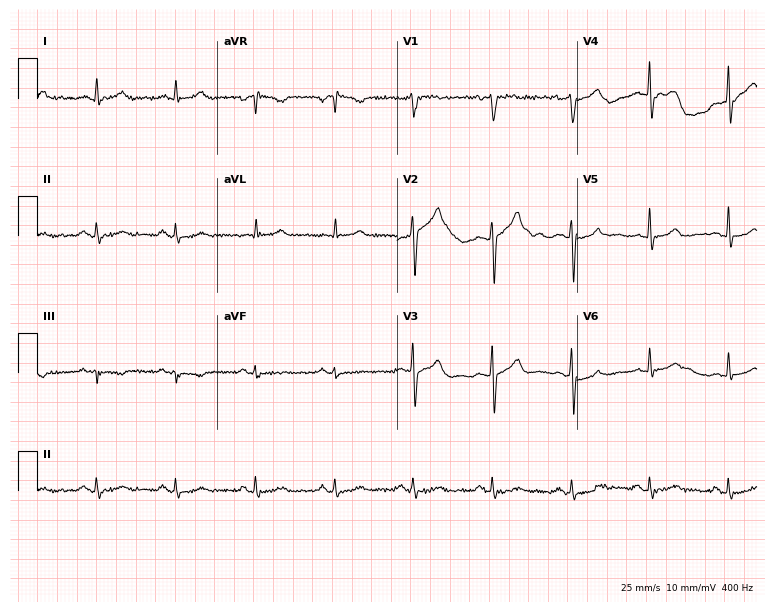
Resting 12-lead electrocardiogram (7.3-second recording at 400 Hz). Patient: a 68-year-old man. Read as a normal ECG.